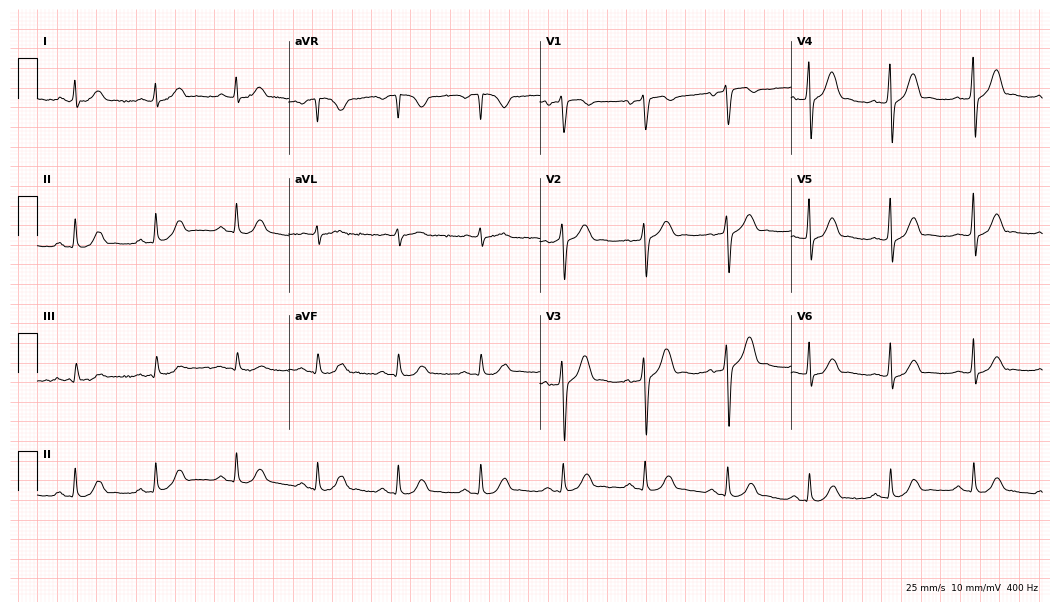
12-lead ECG (10.2-second recording at 400 Hz) from a 52-year-old male. Screened for six findings — first-degree AV block, right bundle branch block (RBBB), left bundle branch block (LBBB), sinus bradycardia, atrial fibrillation (AF), sinus tachycardia — none is recorded.